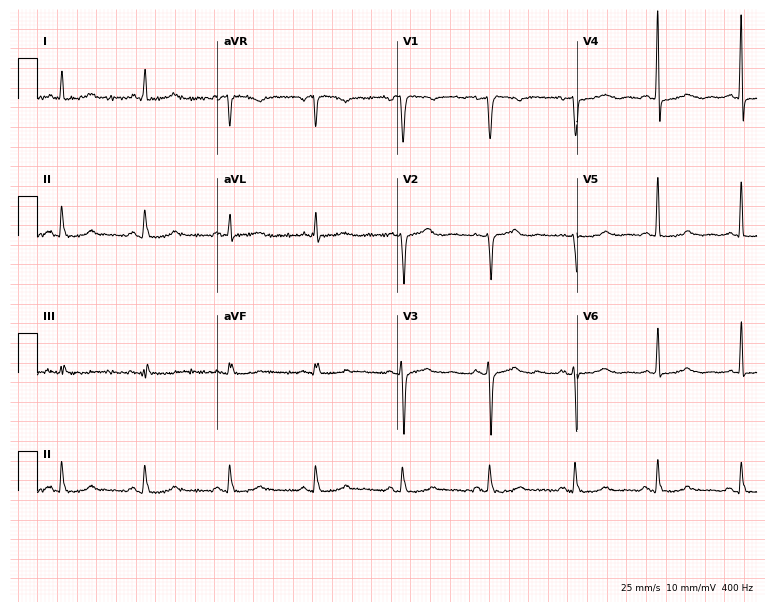
Resting 12-lead electrocardiogram. Patient: a female, 51 years old. Read as a normal ECG.